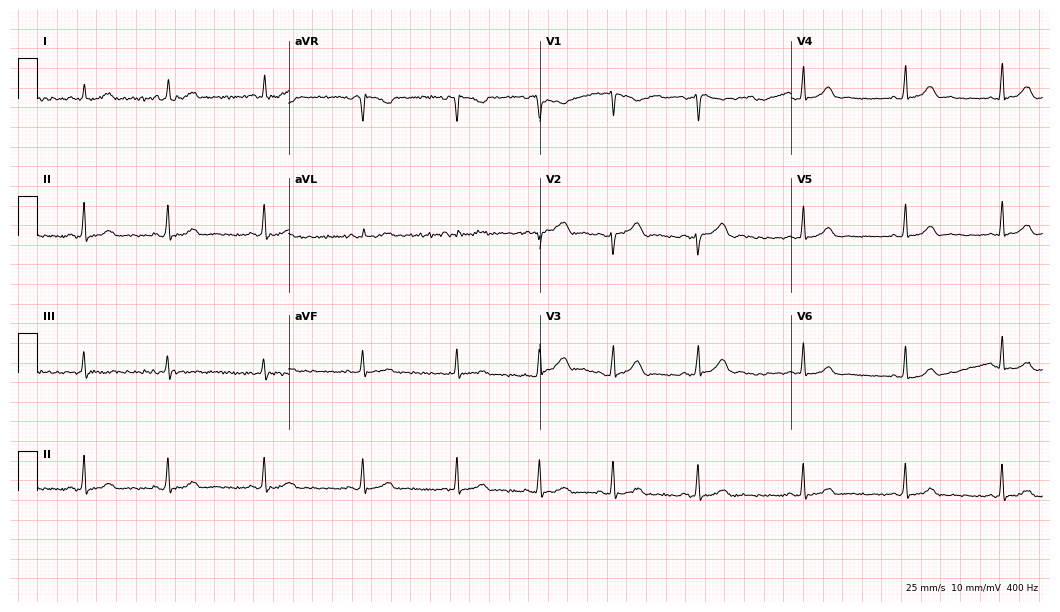
ECG — a female patient, 20 years old. Screened for six findings — first-degree AV block, right bundle branch block (RBBB), left bundle branch block (LBBB), sinus bradycardia, atrial fibrillation (AF), sinus tachycardia — none is recorded.